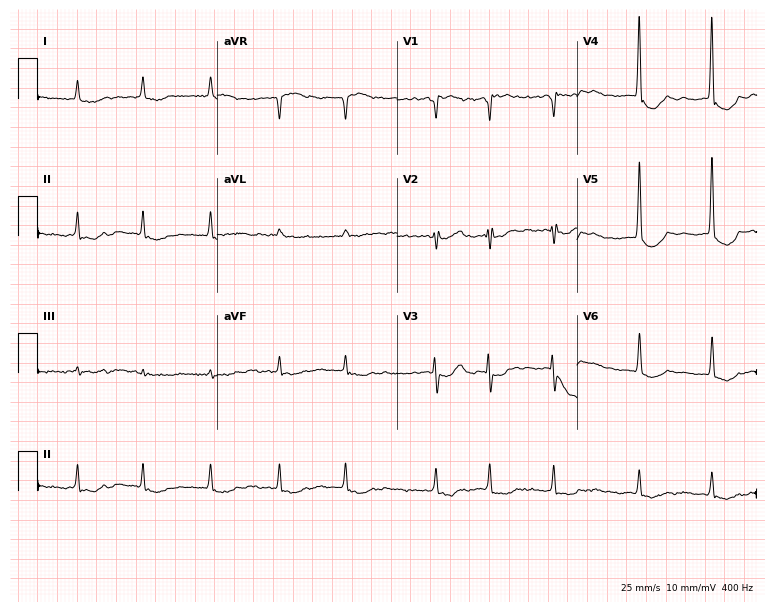
ECG (7.3-second recording at 400 Hz) — an 82-year-old female patient. Findings include atrial fibrillation.